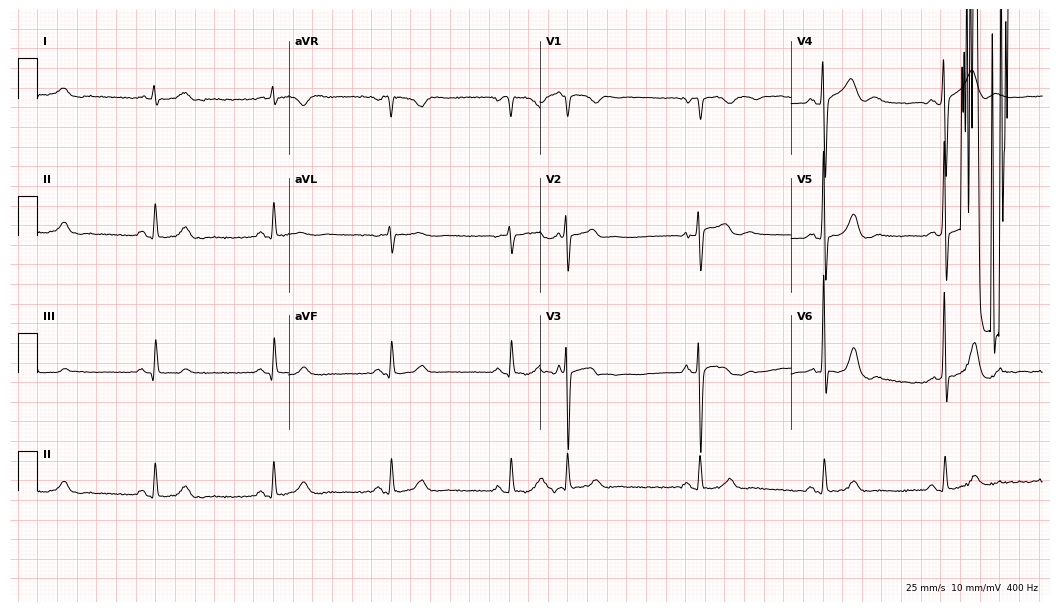
Standard 12-lead ECG recorded from an 84-year-old male (10.2-second recording at 400 Hz). None of these six findings is recorded: first-degree AV block, right bundle branch block, left bundle branch block, sinus bradycardia, atrial fibrillation, sinus tachycardia.